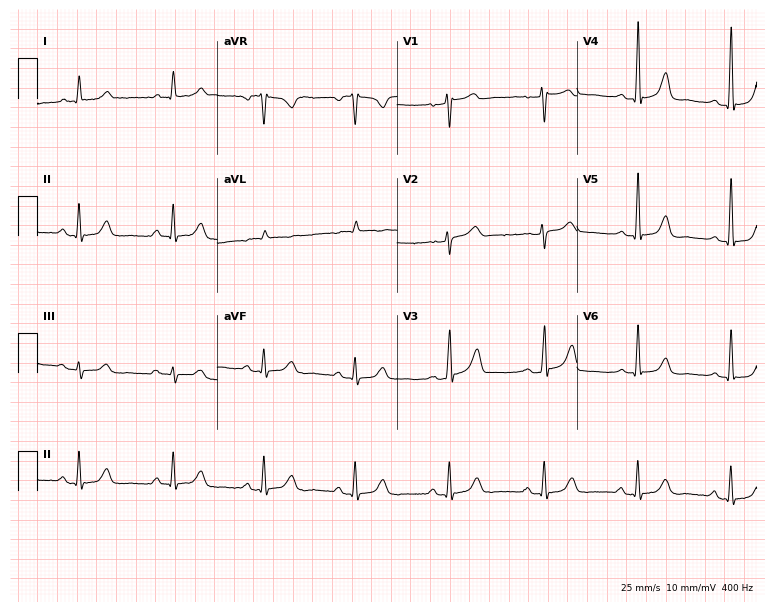
12-lead ECG from a female patient, 64 years old. No first-degree AV block, right bundle branch block, left bundle branch block, sinus bradycardia, atrial fibrillation or sinus tachycardia recorded for this tracing. Findings outside these six are not listed.